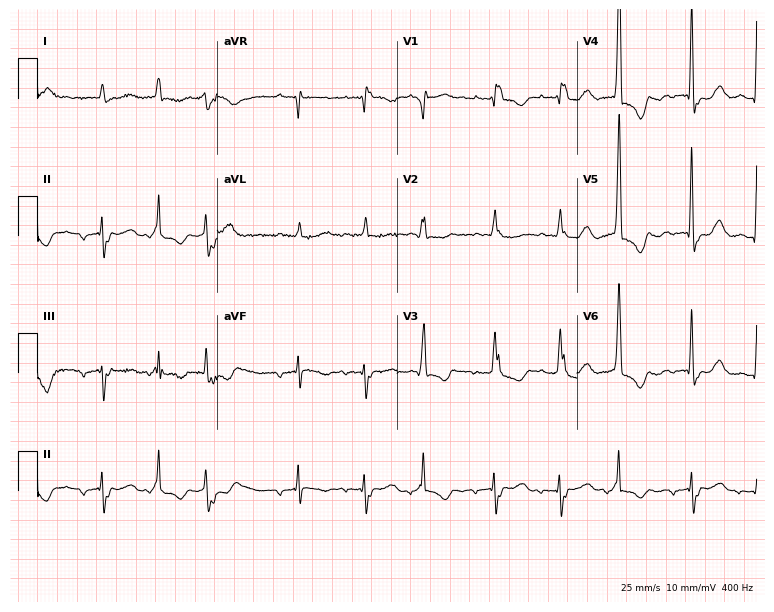
12-lead ECG from a female patient, 82 years old. Shows atrial fibrillation.